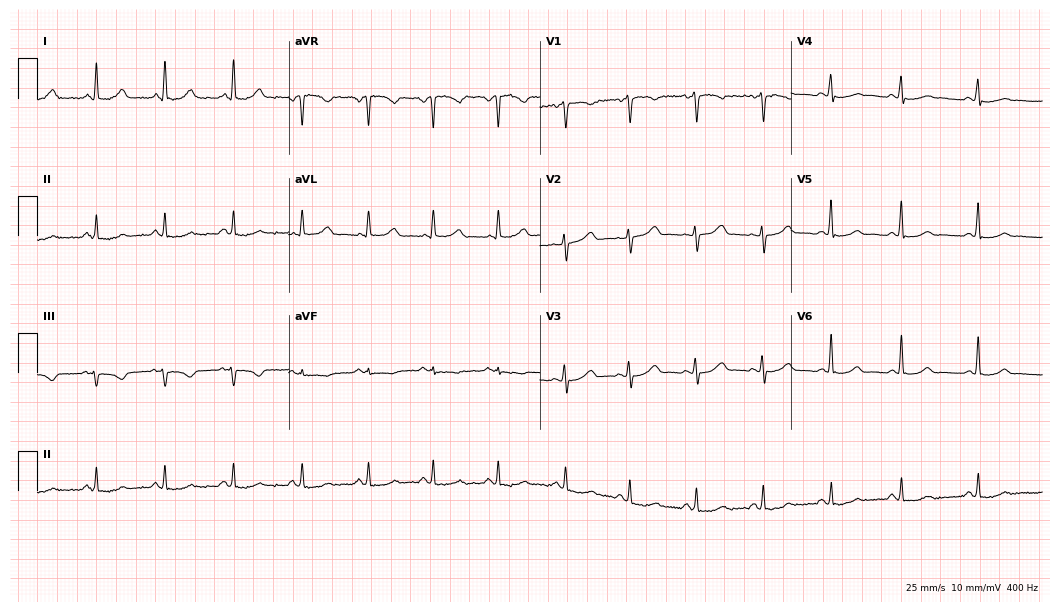
Standard 12-lead ECG recorded from a female, 56 years old (10.2-second recording at 400 Hz). None of these six findings is recorded: first-degree AV block, right bundle branch block (RBBB), left bundle branch block (LBBB), sinus bradycardia, atrial fibrillation (AF), sinus tachycardia.